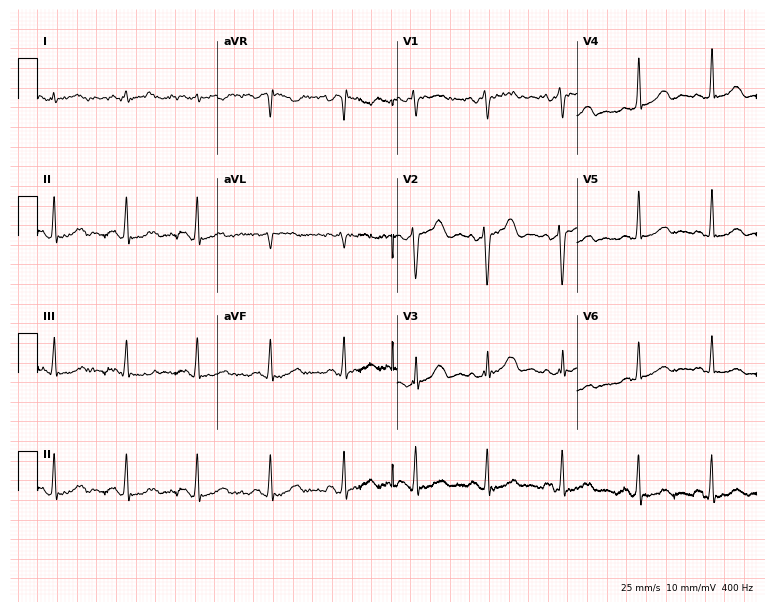
Resting 12-lead electrocardiogram. Patient: a 39-year-old female. None of these six findings is recorded: first-degree AV block, right bundle branch block, left bundle branch block, sinus bradycardia, atrial fibrillation, sinus tachycardia. Findings outside these six are not listed.